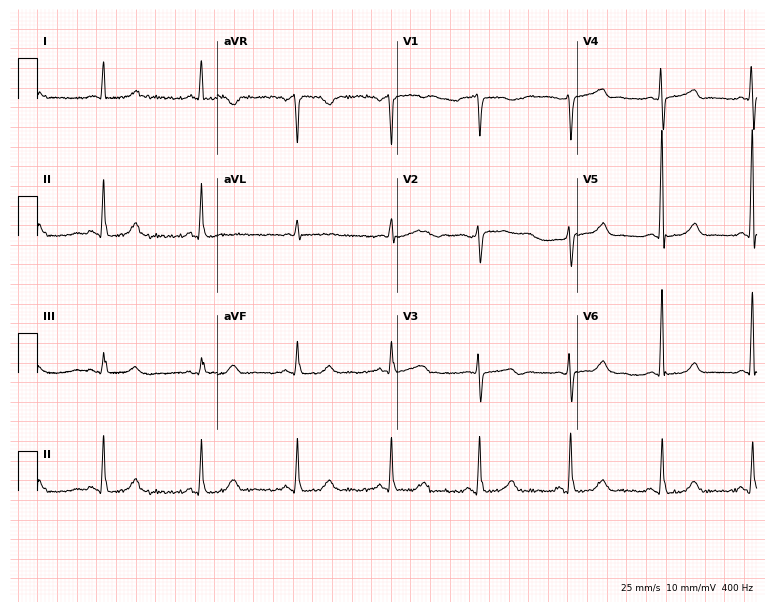
ECG (7.3-second recording at 400 Hz) — a 53-year-old female. Screened for six findings — first-degree AV block, right bundle branch block, left bundle branch block, sinus bradycardia, atrial fibrillation, sinus tachycardia — none is recorded.